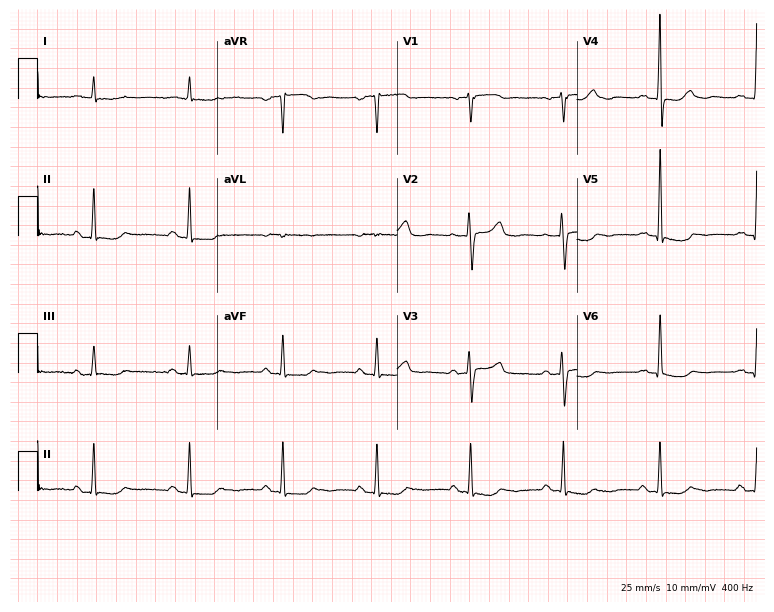
Resting 12-lead electrocardiogram. Patient: a female, 82 years old. None of these six findings is recorded: first-degree AV block, right bundle branch block, left bundle branch block, sinus bradycardia, atrial fibrillation, sinus tachycardia. Only these six findings were labelled.